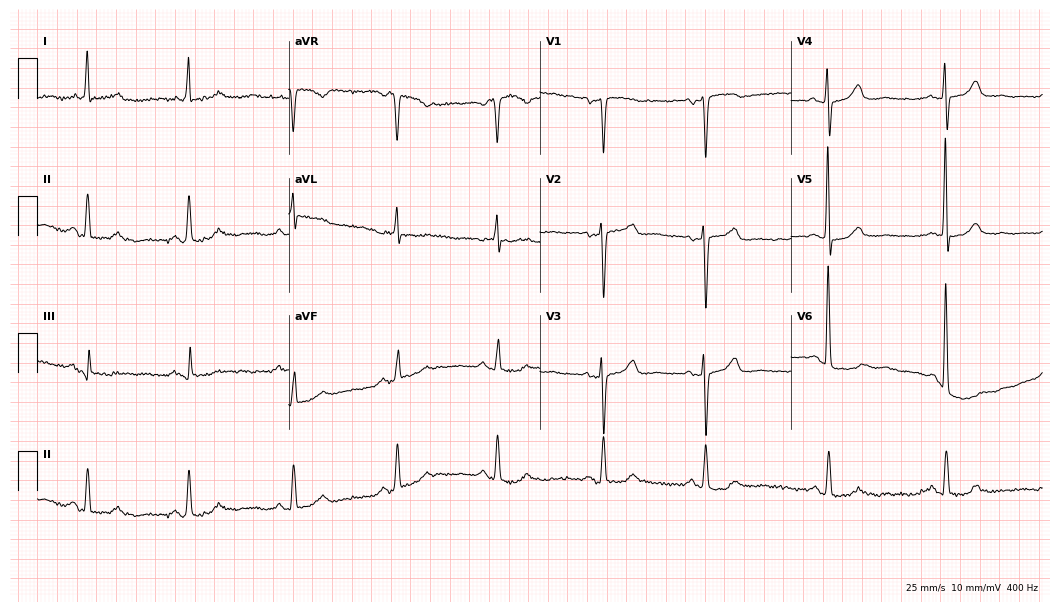
Standard 12-lead ECG recorded from a female, 82 years old. Read as a normal ECG.